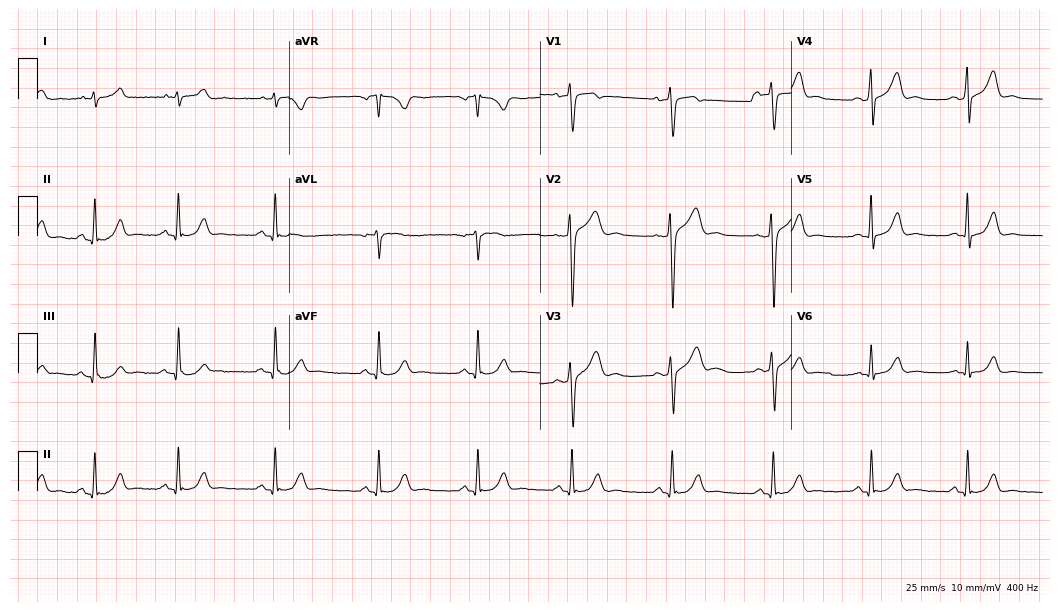
Standard 12-lead ECG recorded from a male patient, 42 years old. None of these six findings is recorded: first-degree AV block, right bundle branch block, left bundle branch block, sinus bradycardia, atrial fibrillation, sinus tachycardia. Only these six findings were labelled.